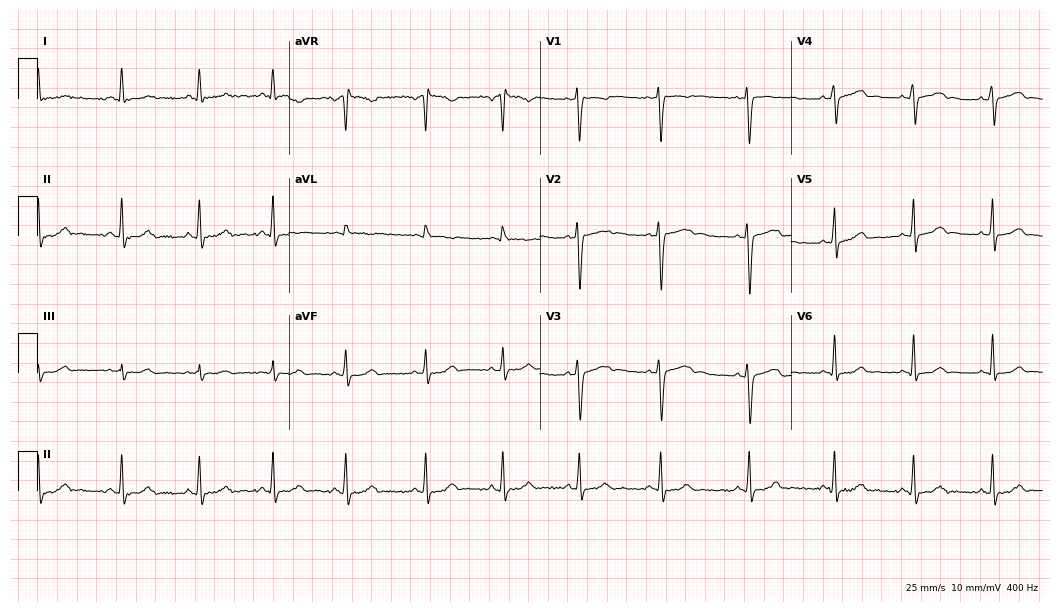
Standard 12-lead ECG recorded from a 28-year-old female (10.2-second recording at 400 Hz). Read as a normal ECG.